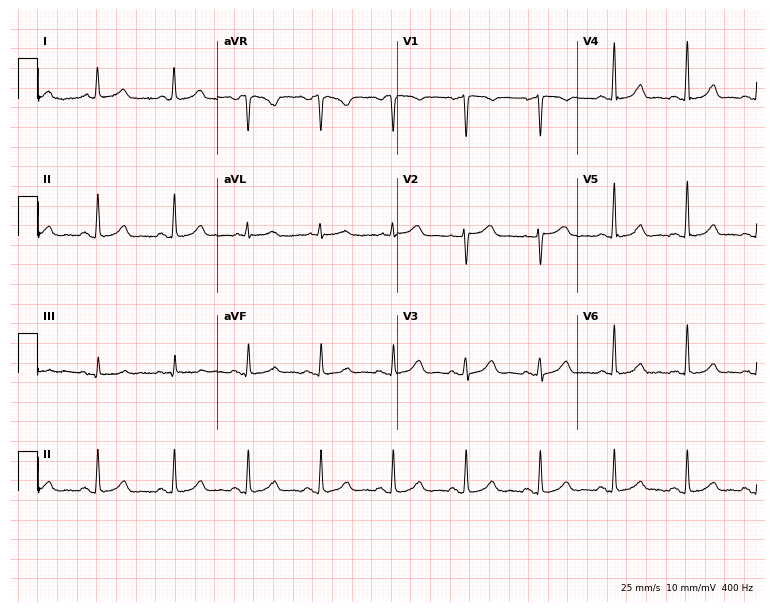
Resting 12-lead electrocardiogram. Patient: a female, 41 years old. Read as a normal ECG.